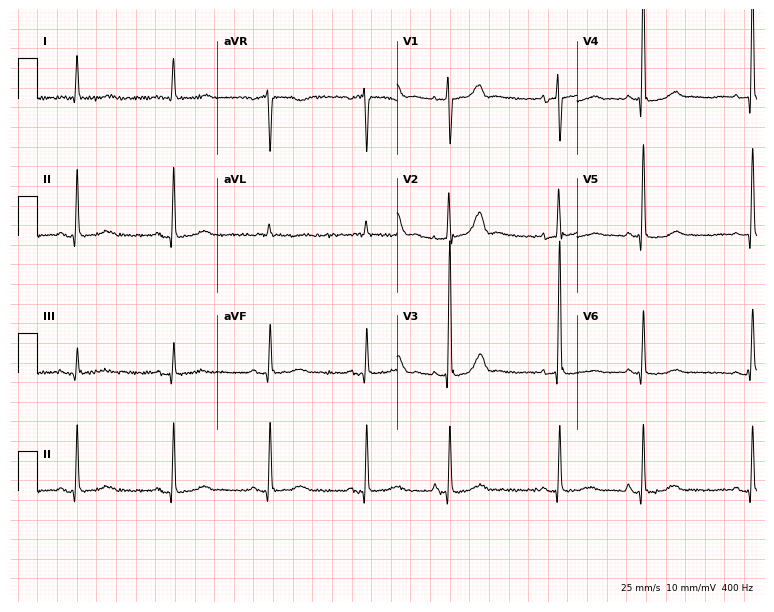
12-lead ECG from a female patient, 82 years old (7.3-second recording at 400 Hz). Recorded interpretation: within normal limits.